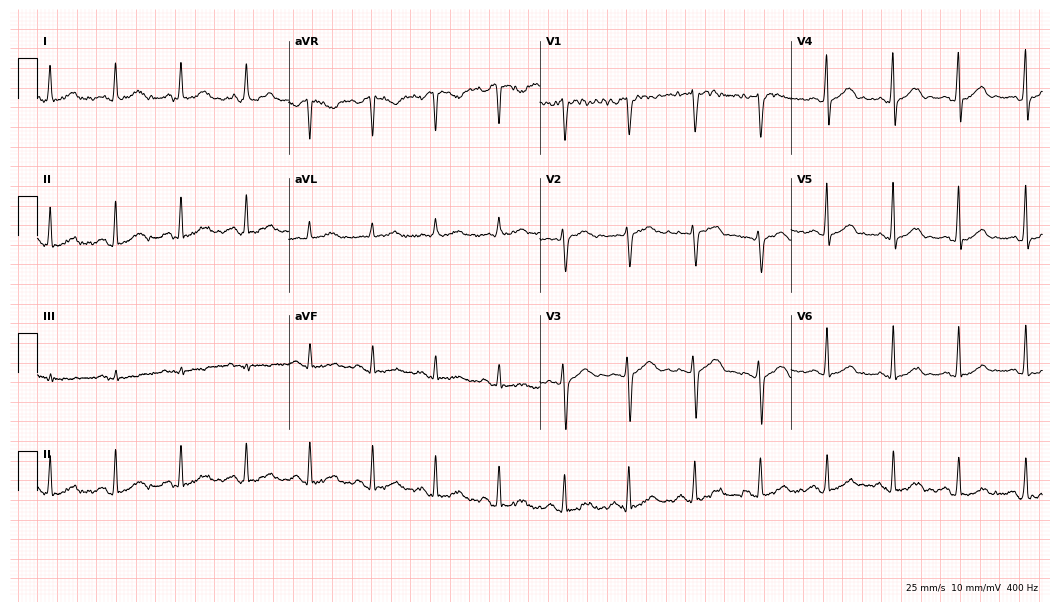
ECG — a 45-year-old female. Labelled as a normal ECG.